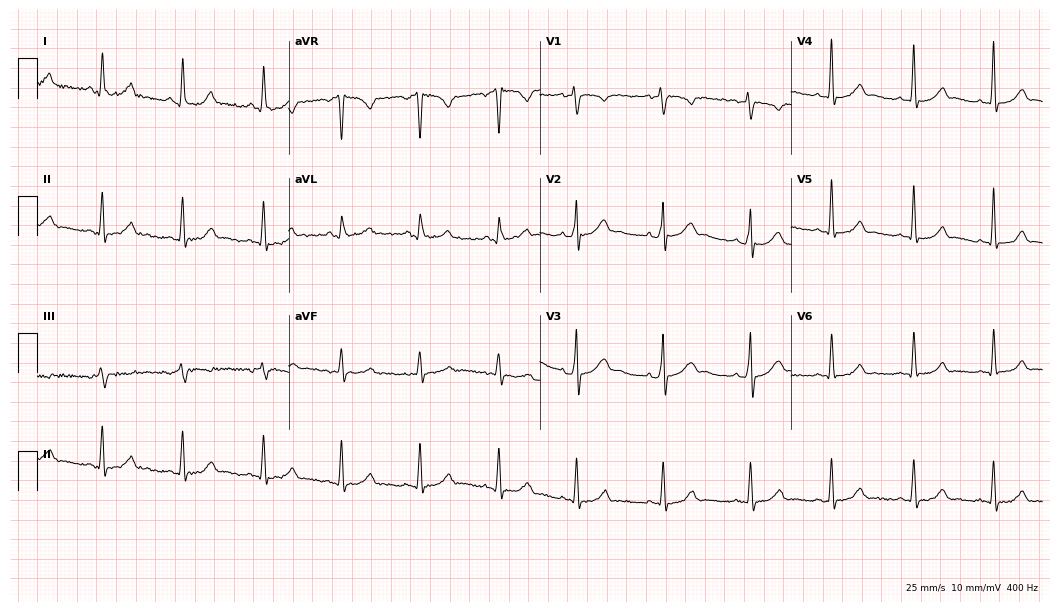
Standard 12-lead ECG recorded from a woman, 29 years old. Read as a normal ECG.